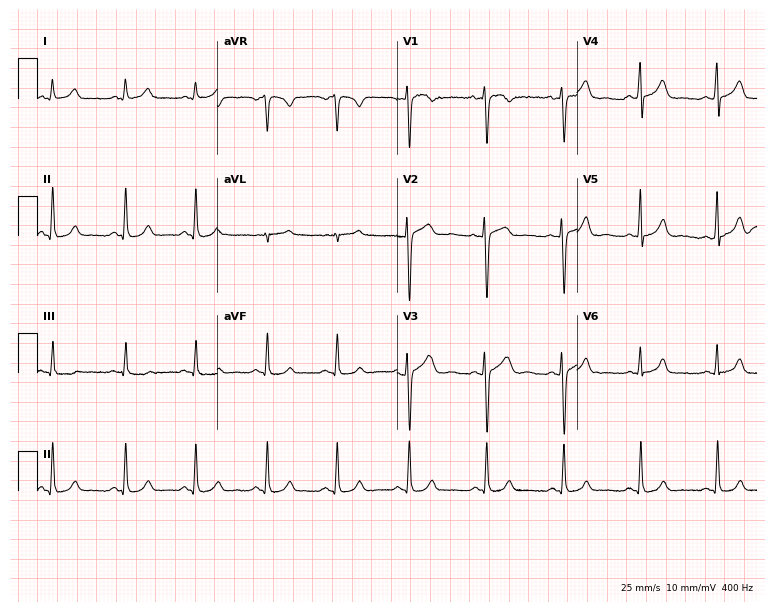
Resting 12-lead electrocardiogram (7.3-second recording at 400 Hz). Patient: a female, 29 years old. Read as a normal ECG.